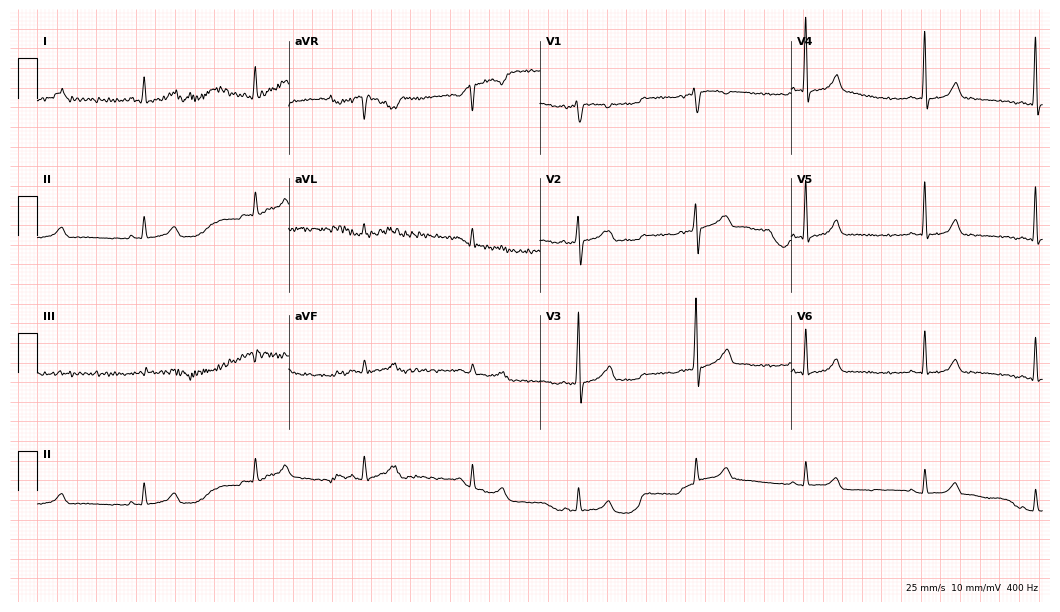
Resting 12-lead electrocardiogram (10.2-second recording at 400 Hz). Patient: an 18-year-old female. Read as a normal ECG.